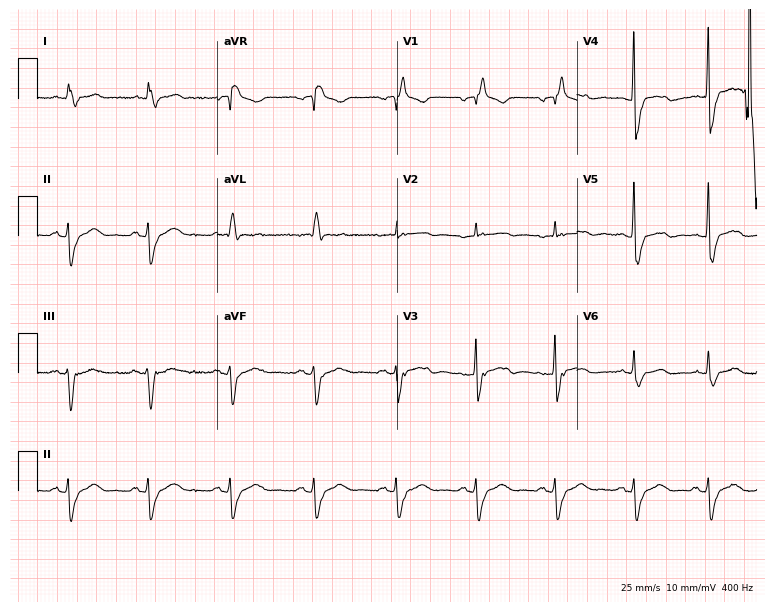
12-lead ECG from a female, 82 years old. No first-degree AV block, right bundle branch block (RBBB), left bundle branch block (LBBB), sinus bradycardia, atrial fibrillation (AF) or sinus tachycardia recorded for this tracing. Findings outside these six are not listed.